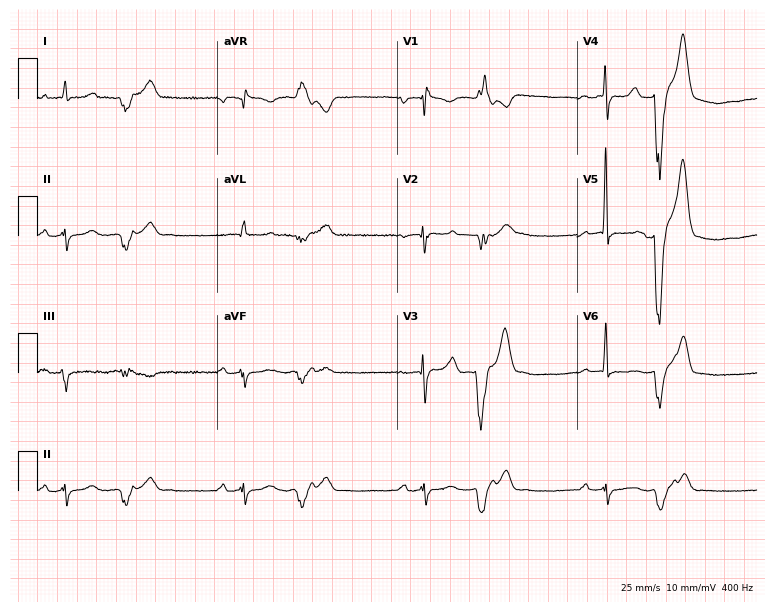
Resting 12-lead electrocardiogram (7.3-second recording at 400 Hz). Patient: a 67-year-old male. The tracing shows first-degree AV block.